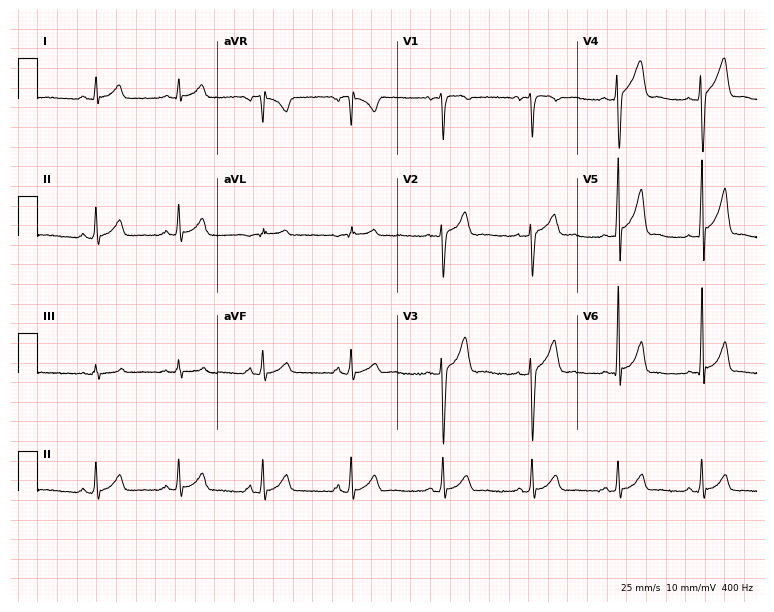
Electrocardiogram (7.3-second recording at 400 Hz), a 25-year-old man. Overall reading on record: normal ECG.